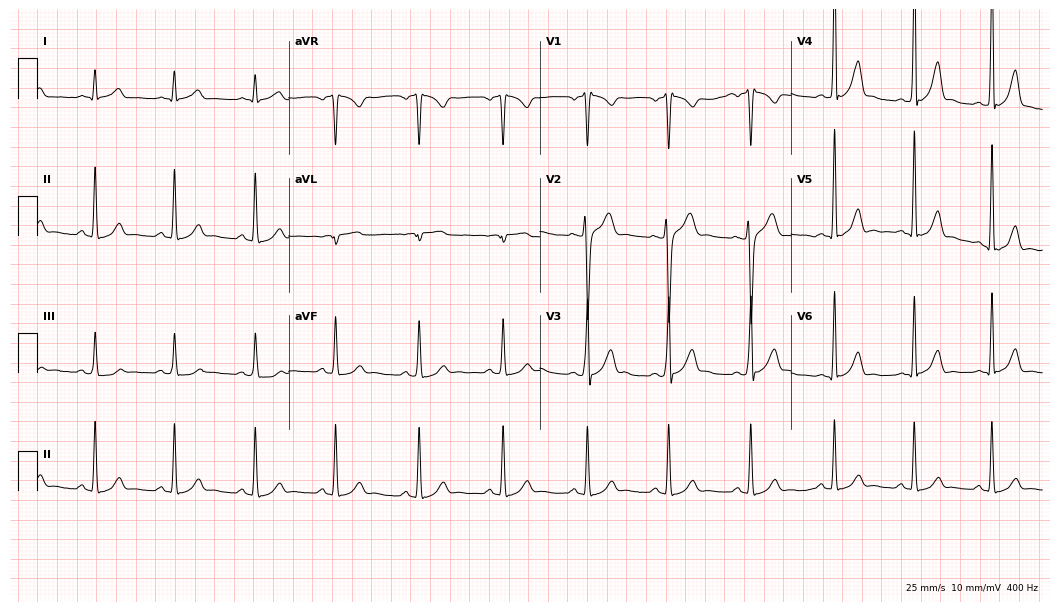
12-lead ECG (10.2-second recording at 400 Hz) from a male, 28 years old. Labelled as a normal ECG.